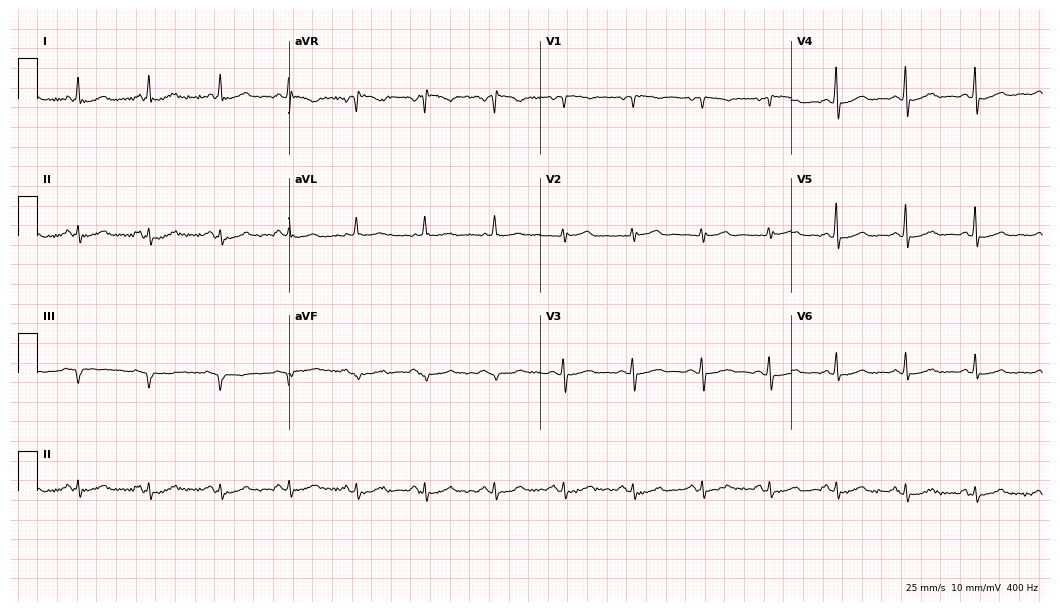
12-lead ECG from a female, 66 years old. Labelled as a normal ECG.